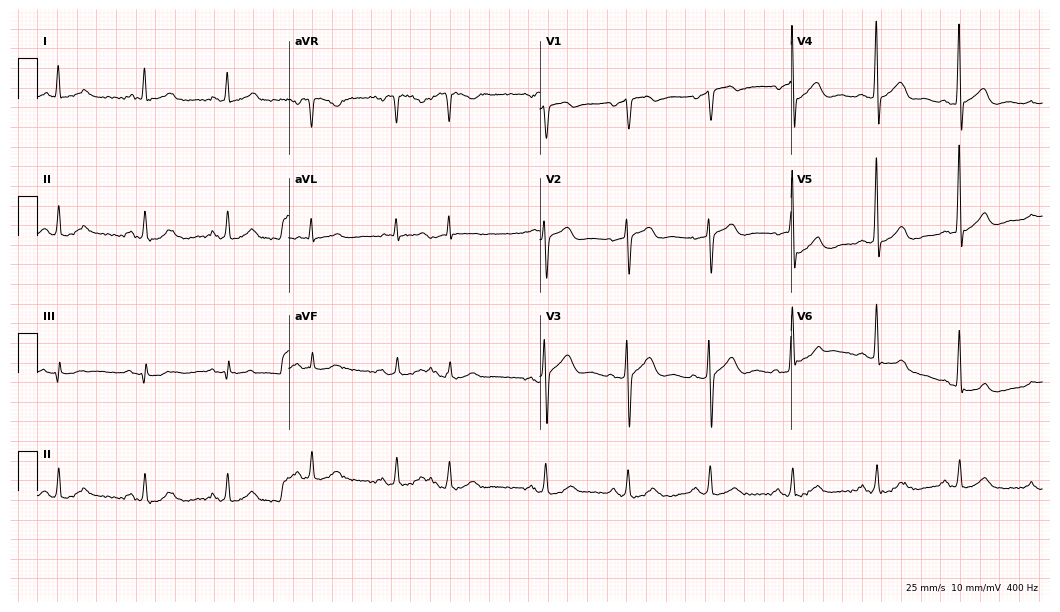
ECG — a male, 66 years old. Screened for six findings — first-degree AV block, right bundle branch block, left bundle branch block, sinus bradycardia, atrial fibrillation, sinus tachycardia — none is recorded.